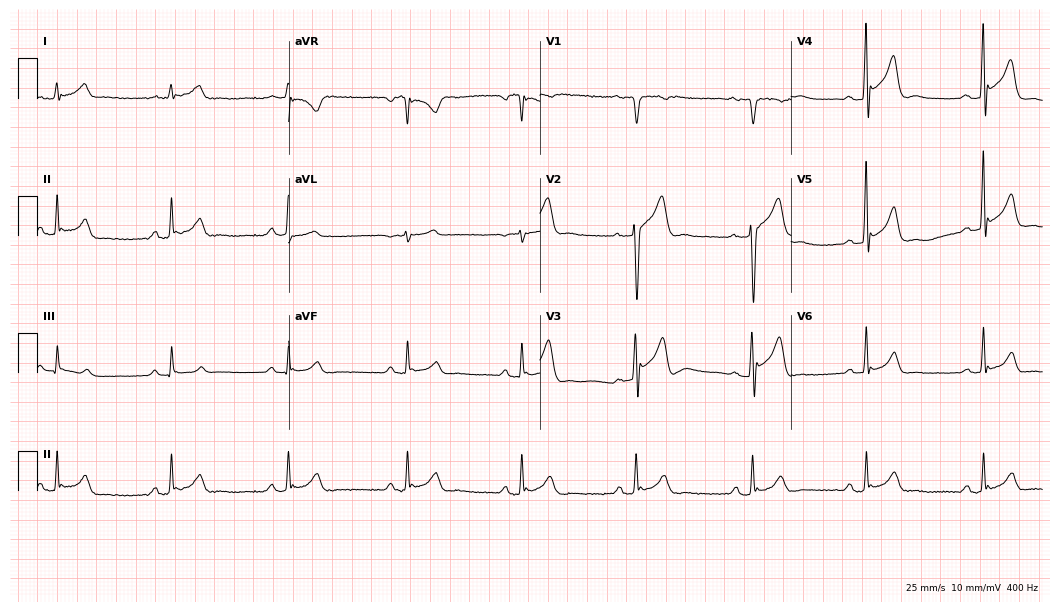
12-lead ECG from a 59-year-old man. Screened for six findings — first-degree AV block, right bundle branch block, left bundle branch block, sinus bradycardia, atrial fibrillation, sinus tachycardia — none is recorded. Only these six findings were labelled.